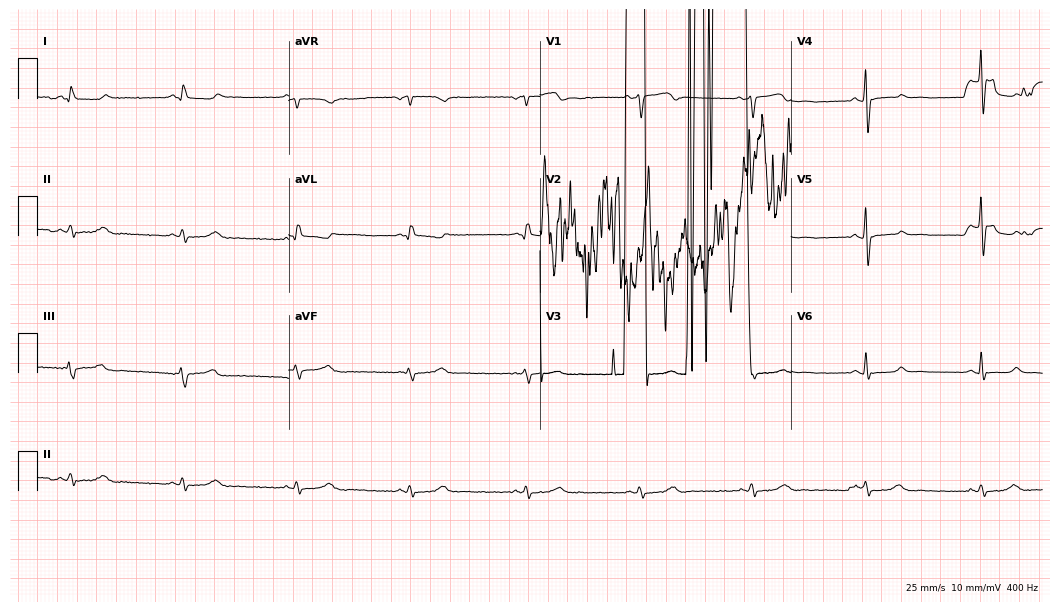
Standard 12-lead ECG recorded from a 55-year-old man. None of these six findings is recorded: first-degree AV block, right bundle branch block (RBBB), left bundle branch block (LBBB), sinus bradycardia, atrial fibrillation (AF), sinus tachycardia. Only these six findings were labelled.